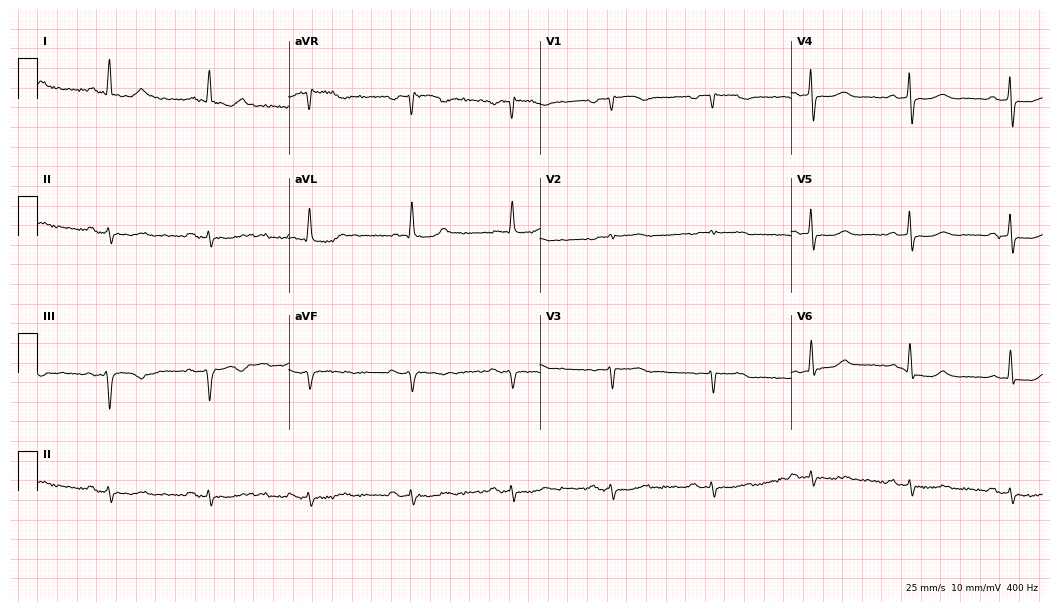
12-lead ECG from a 61-year-old female patient. No first-degree AV block, right bundle branch block, left bundle branch block, sinus bradycardia, atrial fibrillation or sinus tachycardia recorded for this tracing.